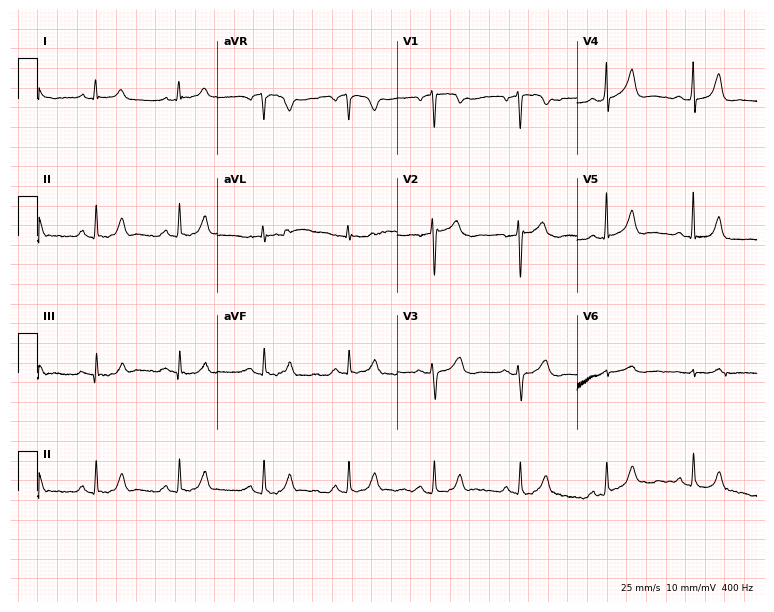
ECG — a woman, 56 years old. Labelled as a normal ECG.